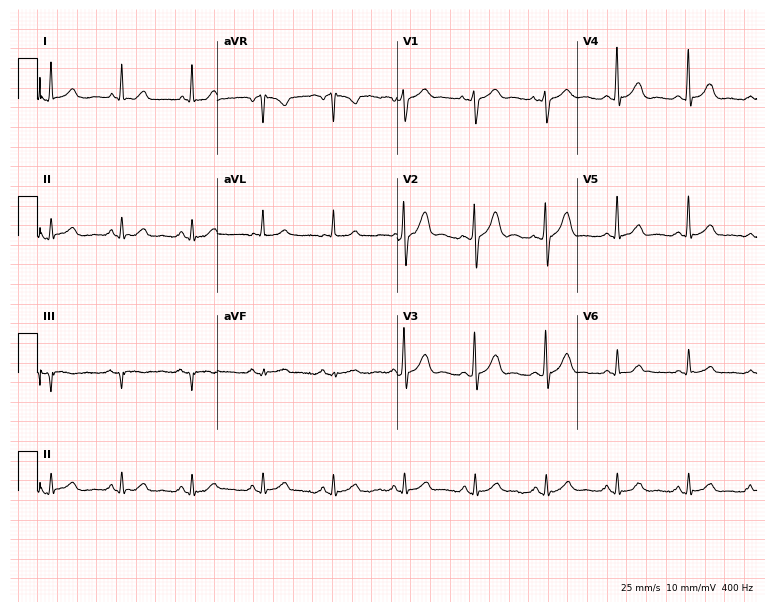
12-lead ECG (7.3-second recording at 400 Hz) from a 44-year-old man. Screened for six findings — first-degree AV block, right bundle branch block, left bundle branch block, sinus bradycardia, atrial fibrillation, sinus tachycardia — none is recorded. Findings outside these six are not listed.